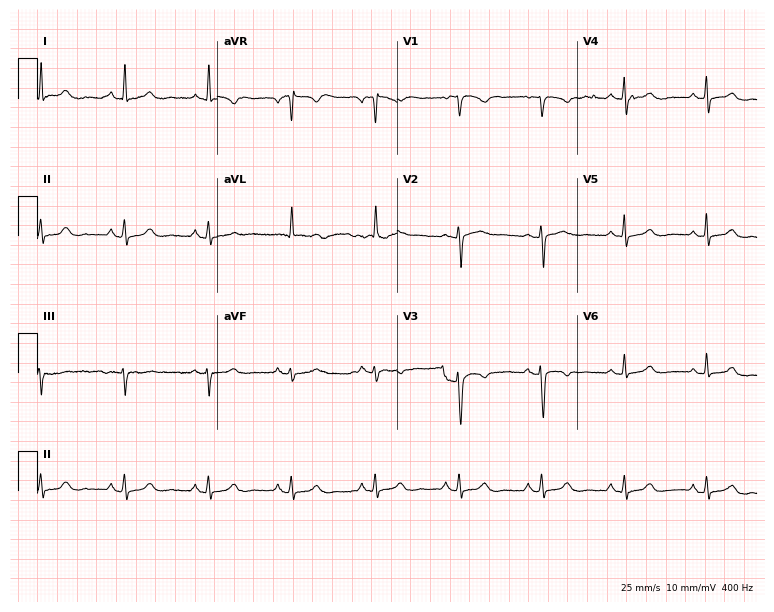
Resting 12-lead electrocardiogram (7.3-second recording at 400 Hz). Patient: a female, 62 years old. None of these six findings is recorded: first-degree AV block, right bundle branch block, left bundle branch block, sinus bradycardia, atrial fibrillation, sinus tachycardia.